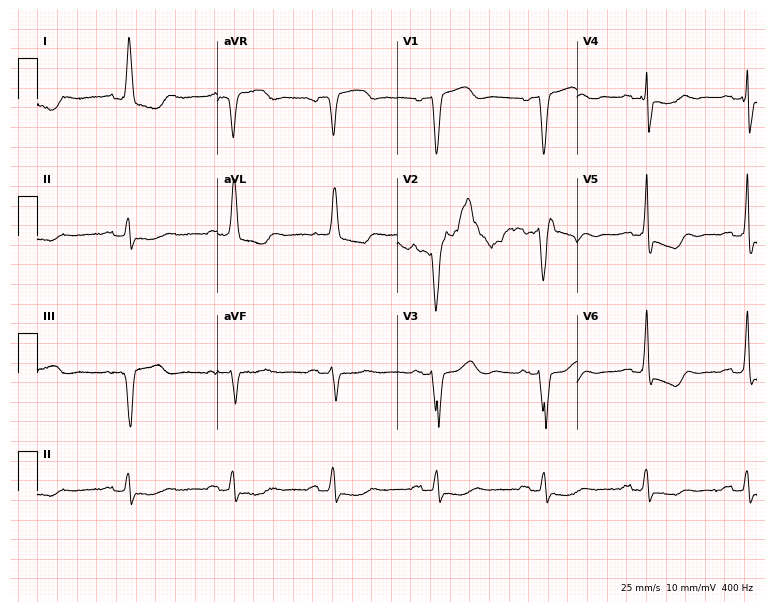
12-lead ECG from a 70-year-old woman (7.3-second recording at 400 Hz). Shows left bundle branch block (LBBB).